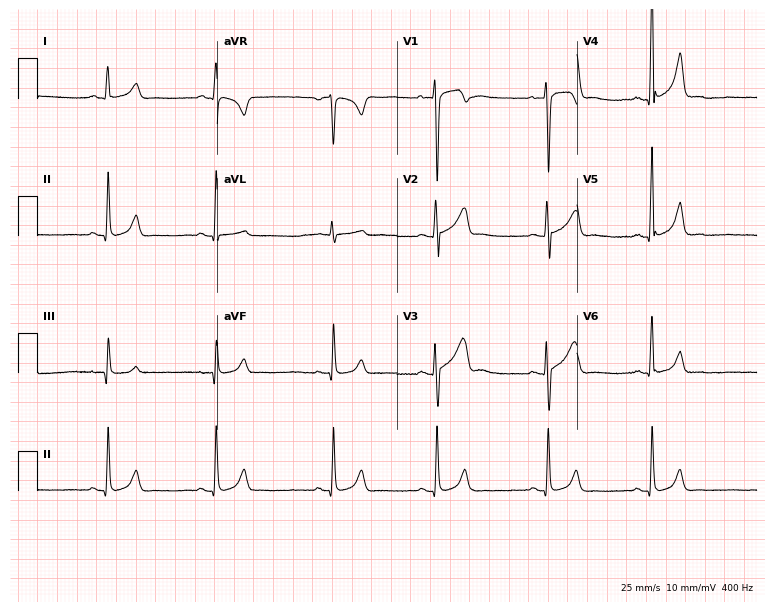
Electrocardiogram, an 18-year-old male. Overall reading on record: normal ECG.